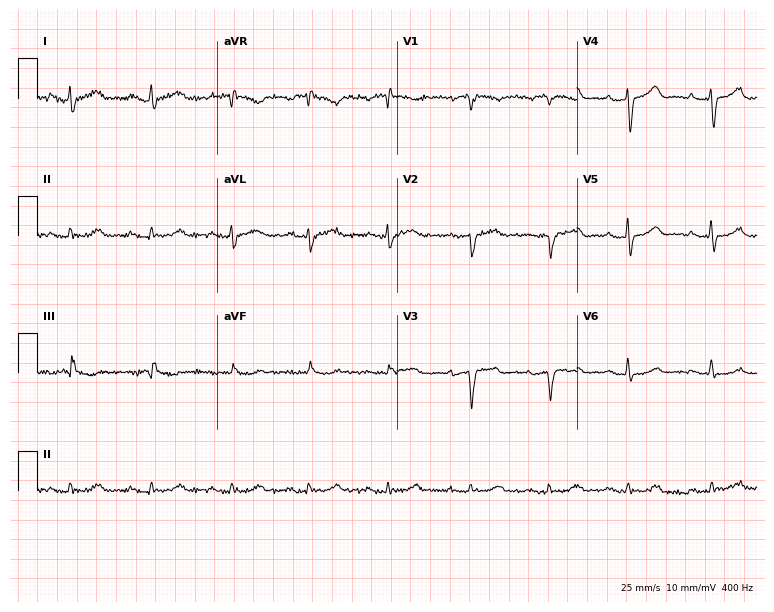
12-lead ECG from an 83-year-old woman (7.3-second recording at 400 Hz). No first-degree AV block, right bundle branch block, left bundle branch block, sinus bradycardia, atrial fibrillation or sinus tachycardia recorded for this tracing.